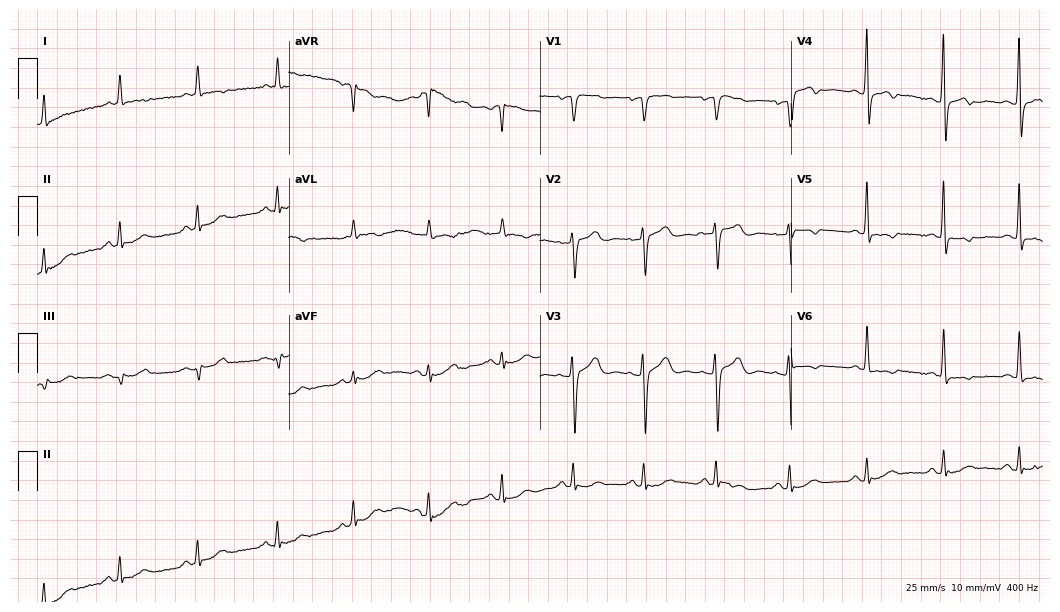
Resting 12-lead electrocardiogram. Patient: a female, 81 years old. None of these six findings is recorded: first-degree AV block, right bundle branch block, left bundle branch block, sinus bradycardia, atrial fibrillation, sinus tachycardia.